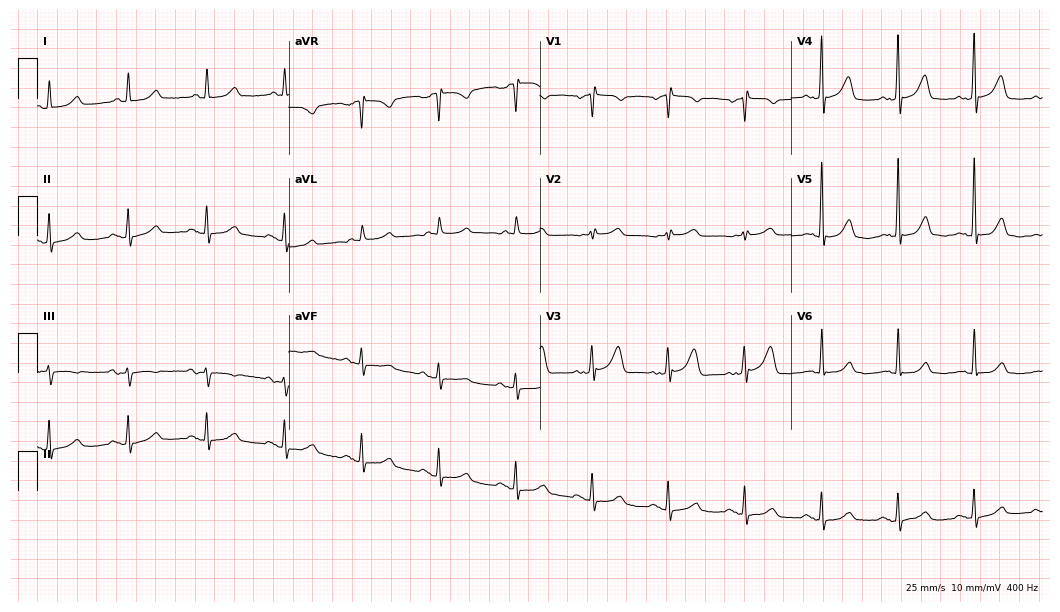
Resting 12-lead electrocardiogram. Patient: an 85-year-old female. None of these six findings is recorded: first-degree AV block, right bundle branch block (RBBB), left bundle branch block (LBBB), sinus bradycardia, atrial fibrillation (AF), sinus tachycardia.